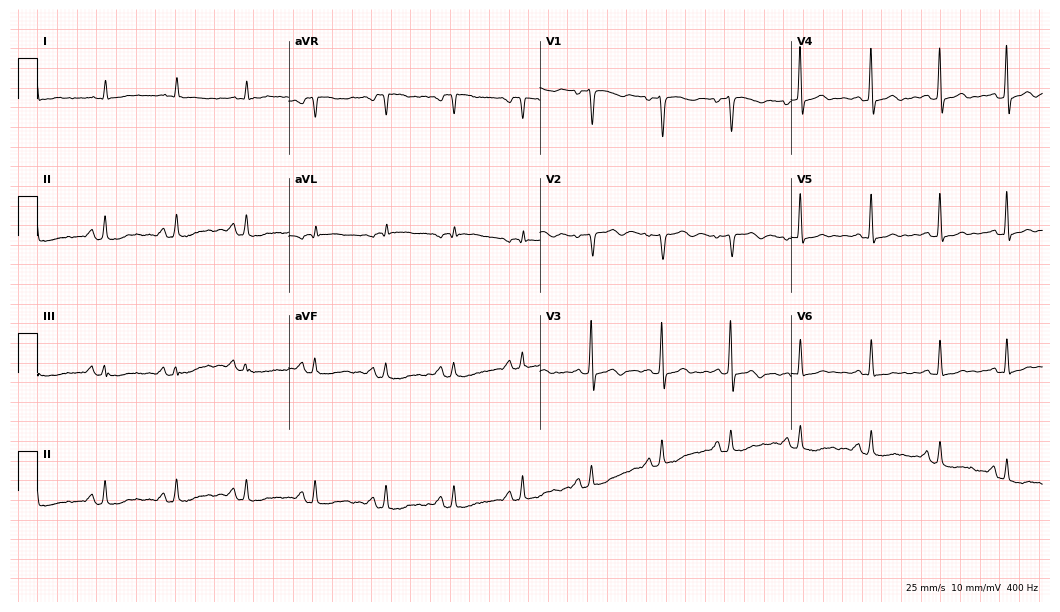
Electrocardiogram (10.2-second recording at 400 Hz), a 38-year-old woman. Of the six screened findings (first-degree AV block, right bundle branch block, left bundle branch block, sinus bradycardia, atrial fibrillation, sinus tachycardia), none is recorded. Other findings, if any, are not listed.